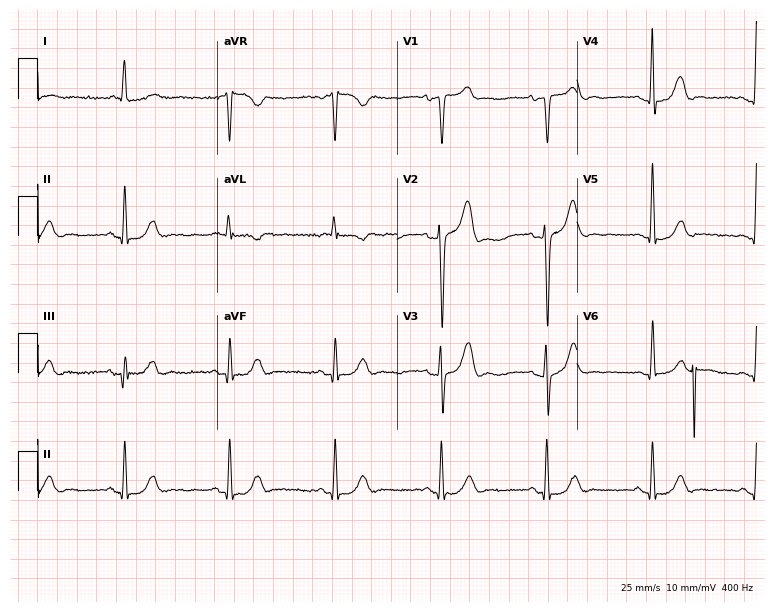
12-lead ECG from a man, 79 years old. No first-degree AV block, right bundle branch block (RBBB), left bundle branch block (LBBB), sinus bradycardia, atrial fibrillation (AF) or sinus tachycardia recorded for this tracing.